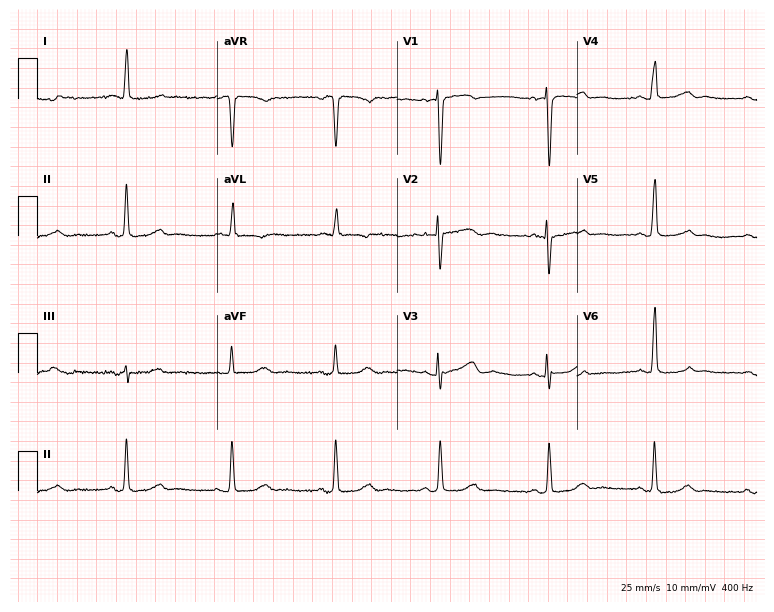
Standard 12-lead ECG recorded from a 63-year-old woman. None of these six findings is recorded: first-degree AV block, right bundle branch block (RBBB), left bundle branch block (LBBB), sinus bradycardia, atrial fibrillation (AF), sinus tachycardia. Only these six findings were labelled.